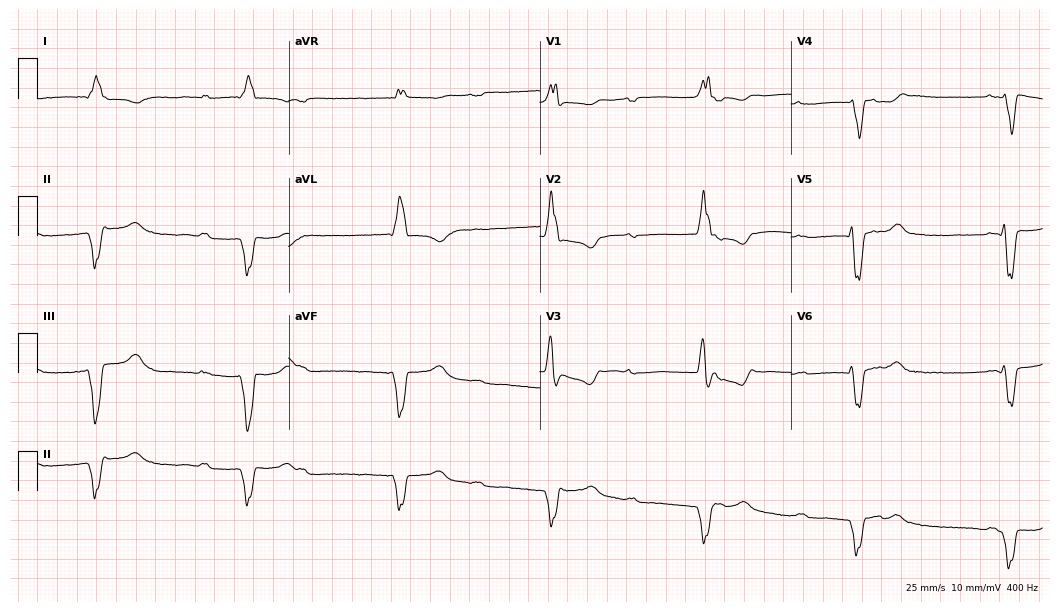
Standard 12-lead ECG recorded from a man, 65 years old (10.2-second recording at 400 Hz). The tracing shows right bundle branch block.